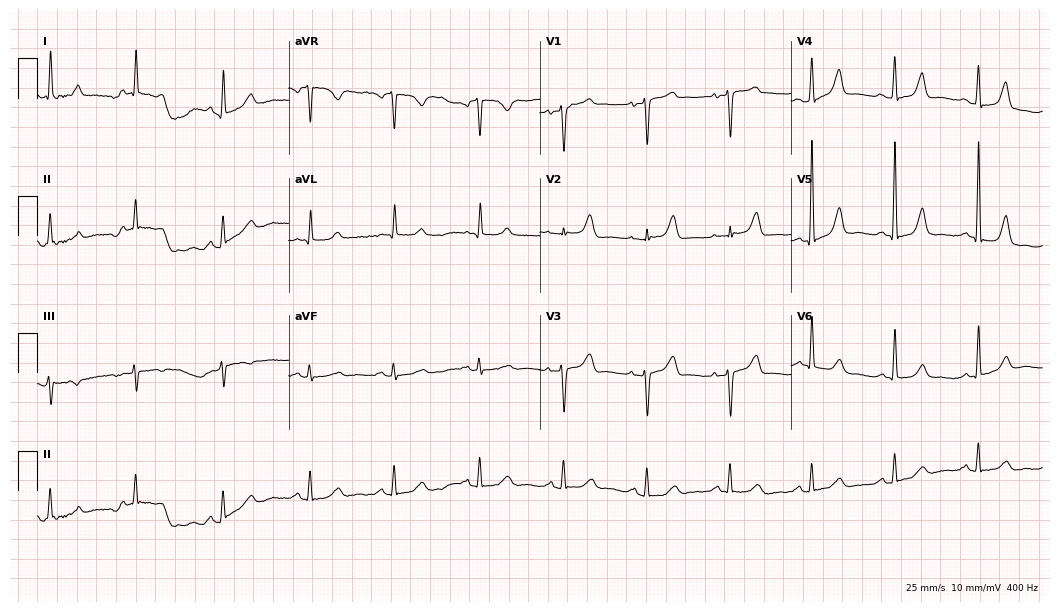
12-lead ECG from an 85-year-old female patient. Screened for six findings — first-degree AV block, right bundle branch block, left bundle branch block, sinus bradycardia, atrial fibrillation, sinus tachycardia — none is recorded. Other findings, if any, are not listed.